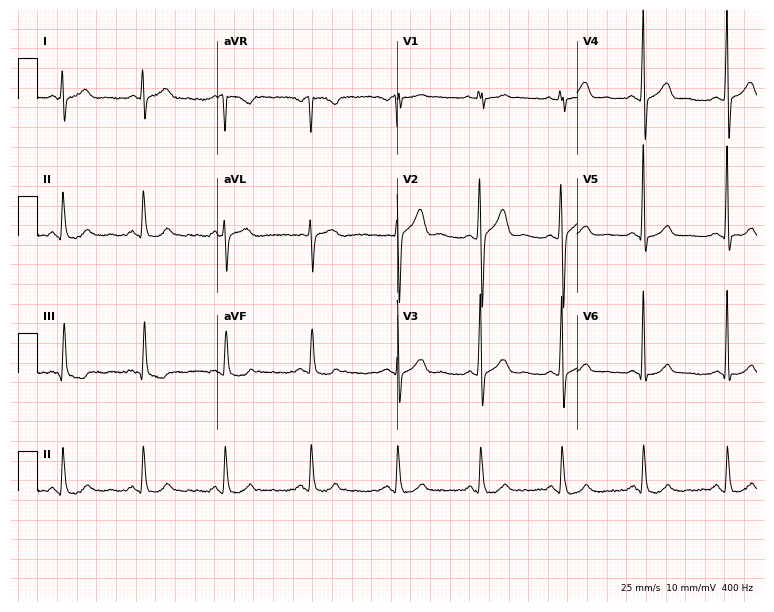
12-lead ECG (7.3-second recording at 400 Hz) from a man, 43 years old. Labelled as a normal ECG.